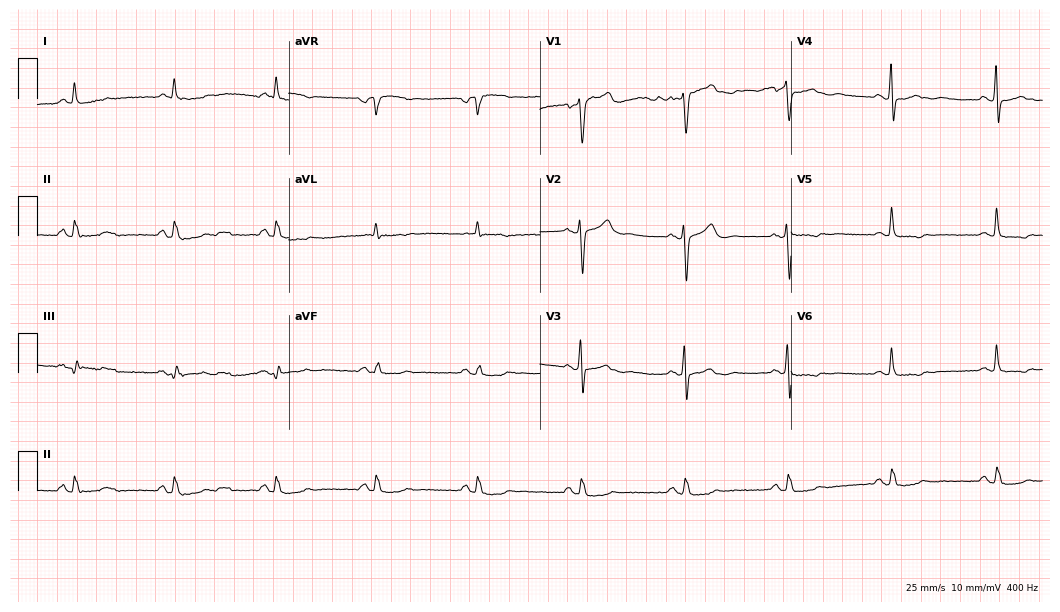
12-lead ECG from a male patient, 69 years old. Screened for six findings — first-degree AV block, right bundle branch block (RBBB), left bundle branch block (LBBB), sinus bradycardia, atrial fibrillation (AF), sinus tachycardia — none is recorded.